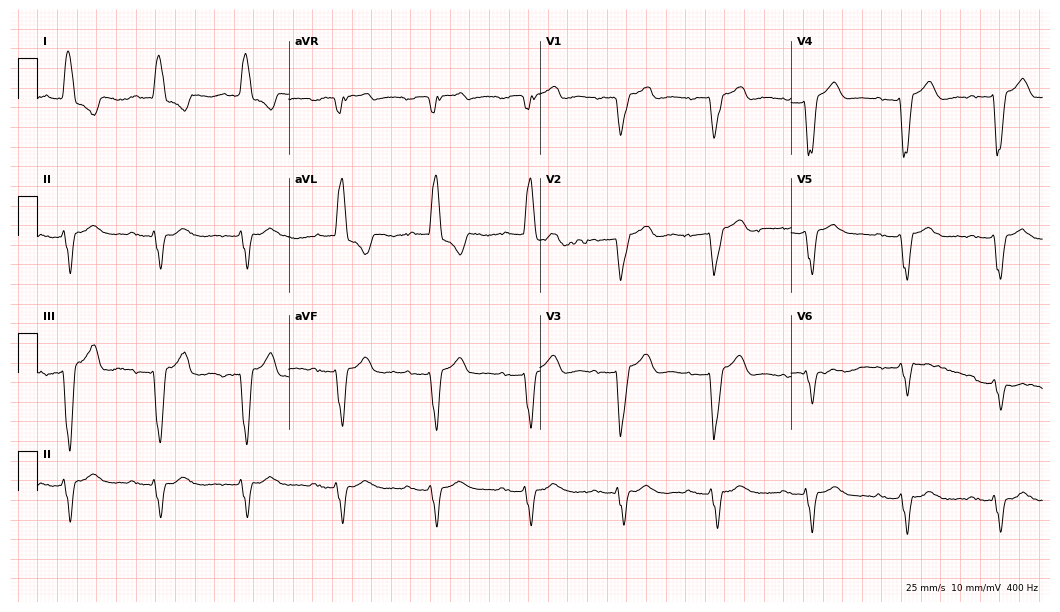
Electrocardiogram (10.2-second recording at 400 Hz), a 73-year-old male. Interpretation includes first-degree AV block, left bundle branch block (LBBB).